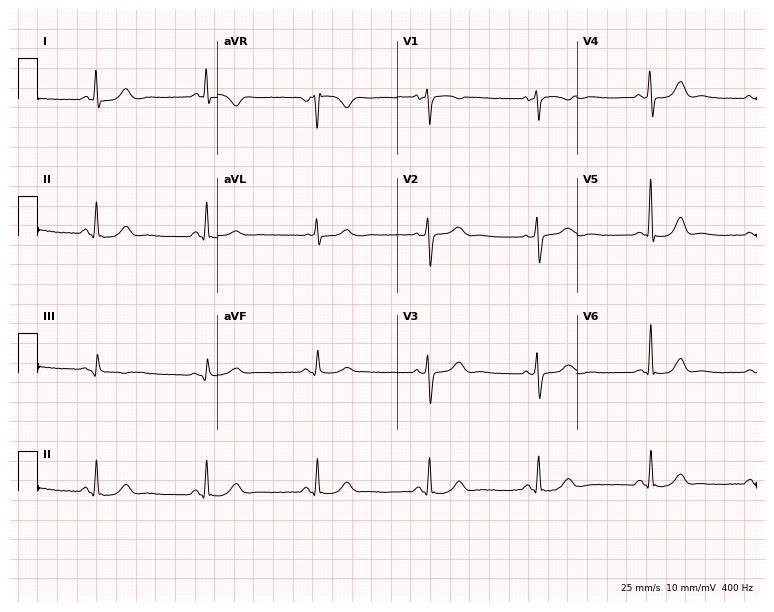
Electrocardiogram, a 64-year-old woman. Of the six screened findings (first-degree AV block, right bundle branch block, left bundle branch block, sinus bradycardia, atrial fibrillation, sinus tachycardia), none is recorded. Only these six findings were labelled.